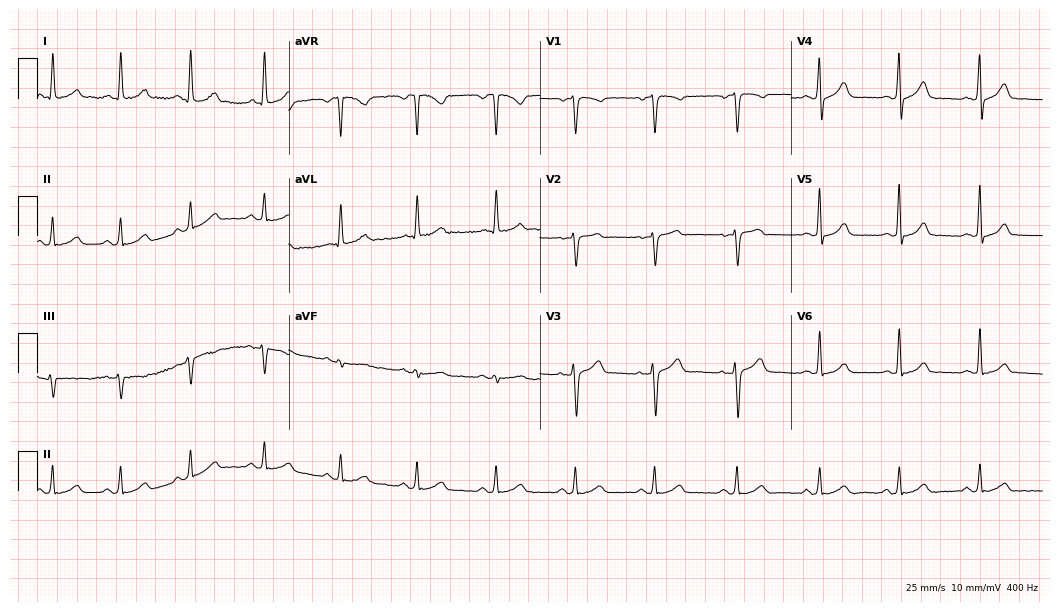
Standard 12-lead ECG recorded from a female patient, 41 years old. Read as a normal ECG.